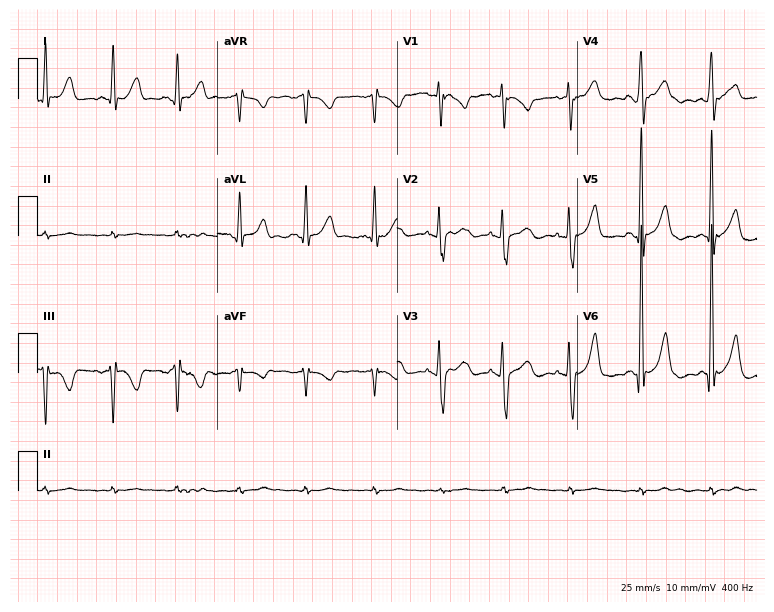
Resting 12-lead electrocardiogram. Patient: a male, 33 years old. Read as a normal ECG.